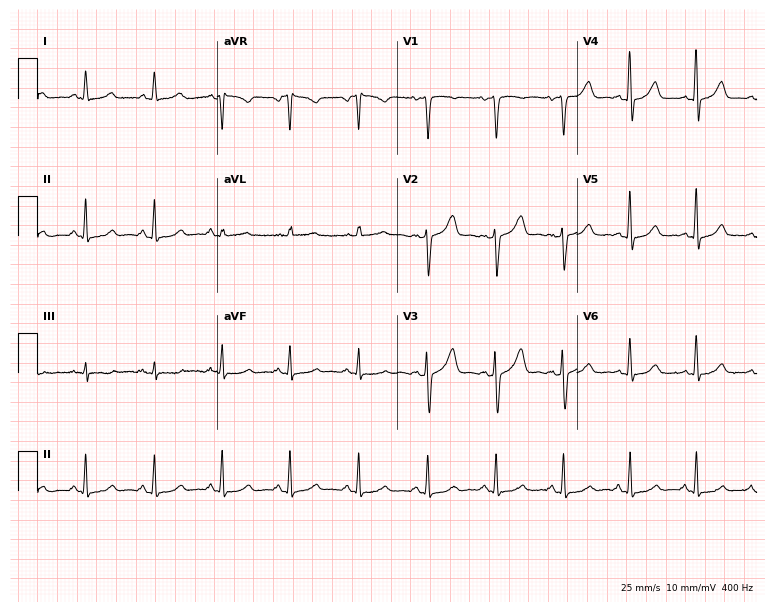
ECG (7.3-second recording at 400 Hz) — a female patient, 44 years old. Labelled as a normal ECG.